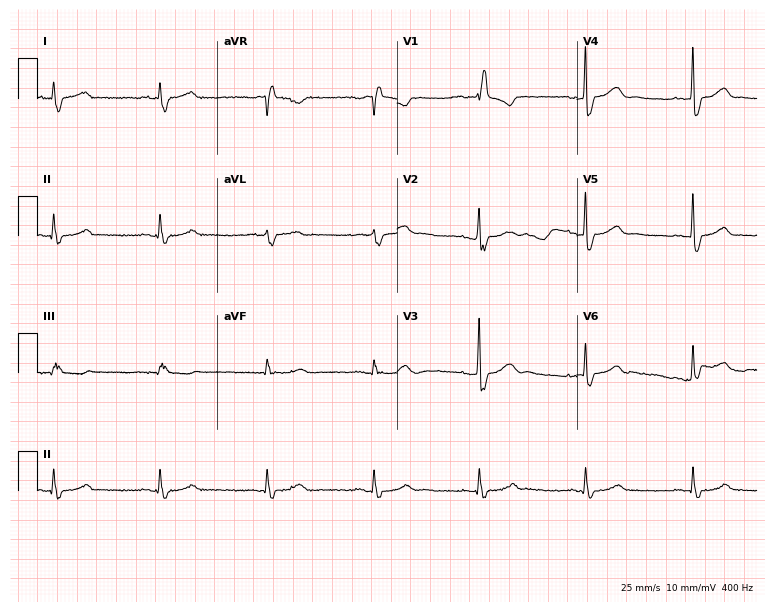
12-lead ECG (7.3-second recording at 400 Hz) from a 20-year-old male. Findings include right bundle branch block.